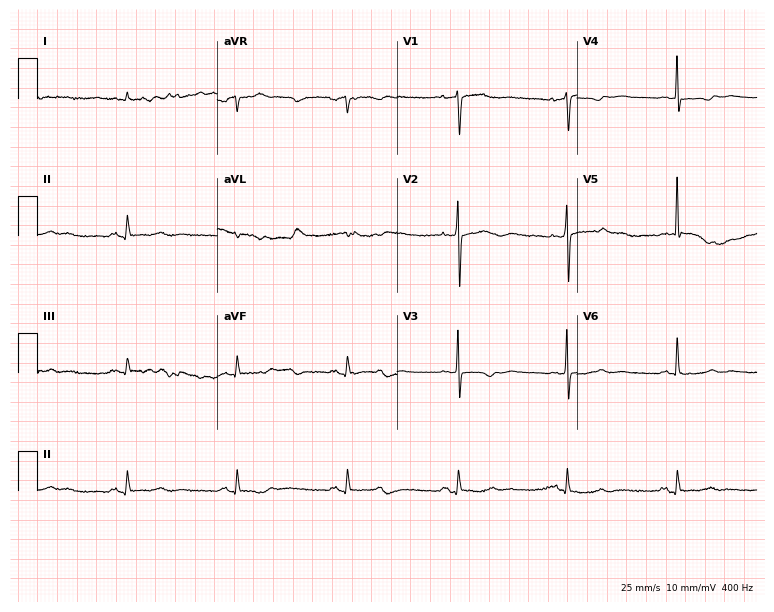
ECG — a woman, 85 years old. Screened for six findings — first-degree AV block, right bundle branch block, left bundle branch block, sinus bradycardia, atrial fibrillation, sinus tachycardia — none is recorded. Only these six findings were labelled.